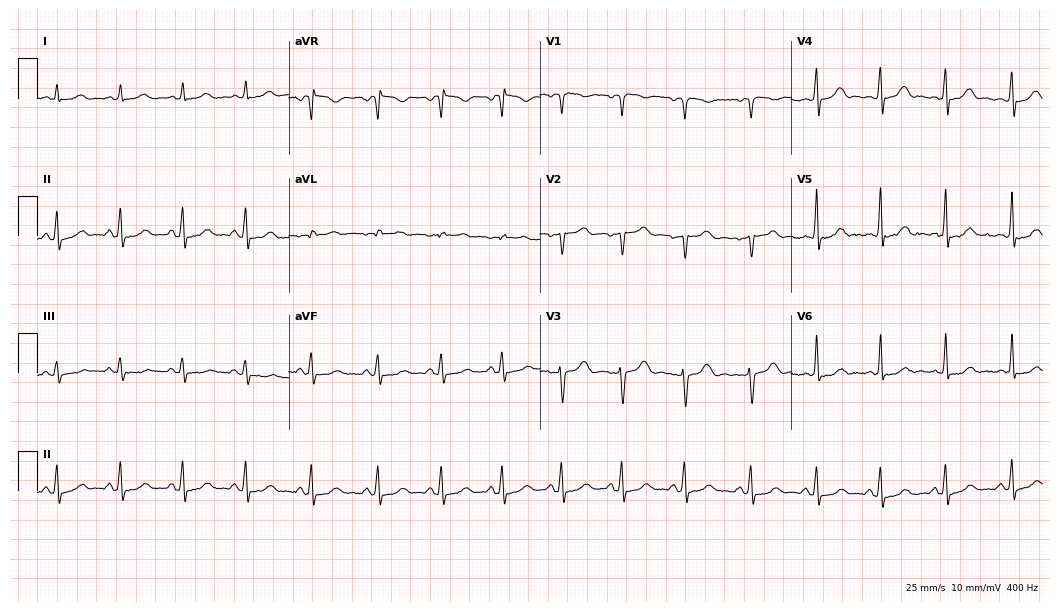
Resting 12-lead electrocardiogram. Patient: a woman, 31 years old. None of these six findings is recorded: first-degree AV block, right bundle branch block, left bundle branch block, sinus bradycardia, atrial fibrillation, sinus tachycardia.